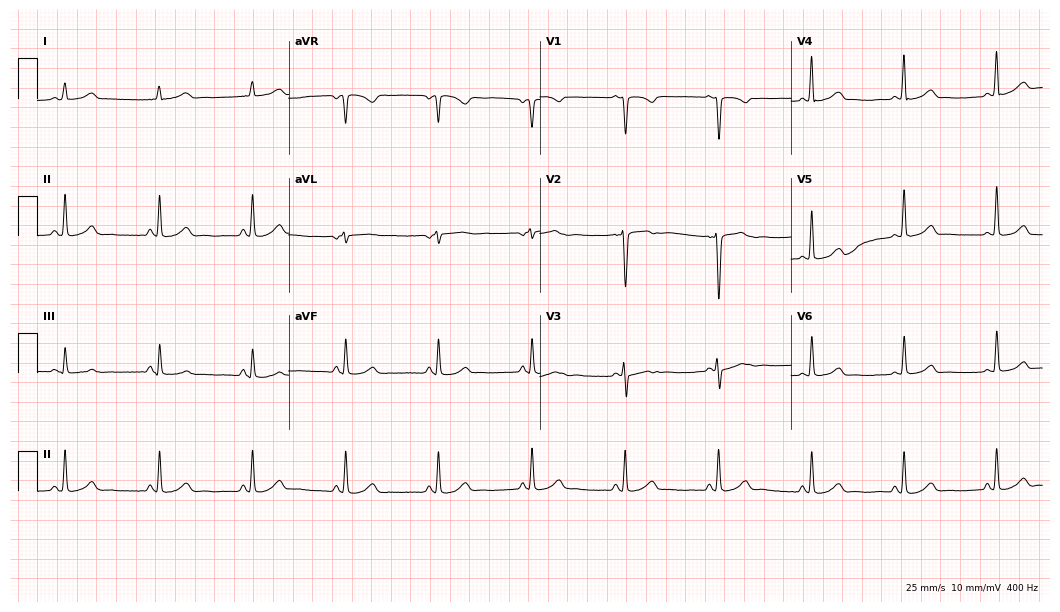
Standard 12-lead ECG recorded from a 26-year-old female patient (10.2-second recording at 400 Hz). None of these six findings is recorded: first-degree AV block, right bundle branch block, left bundle branch block, sinus bradycardia, atrial fibrillation, sinus tachycardia. Findings outside these six are not listed.